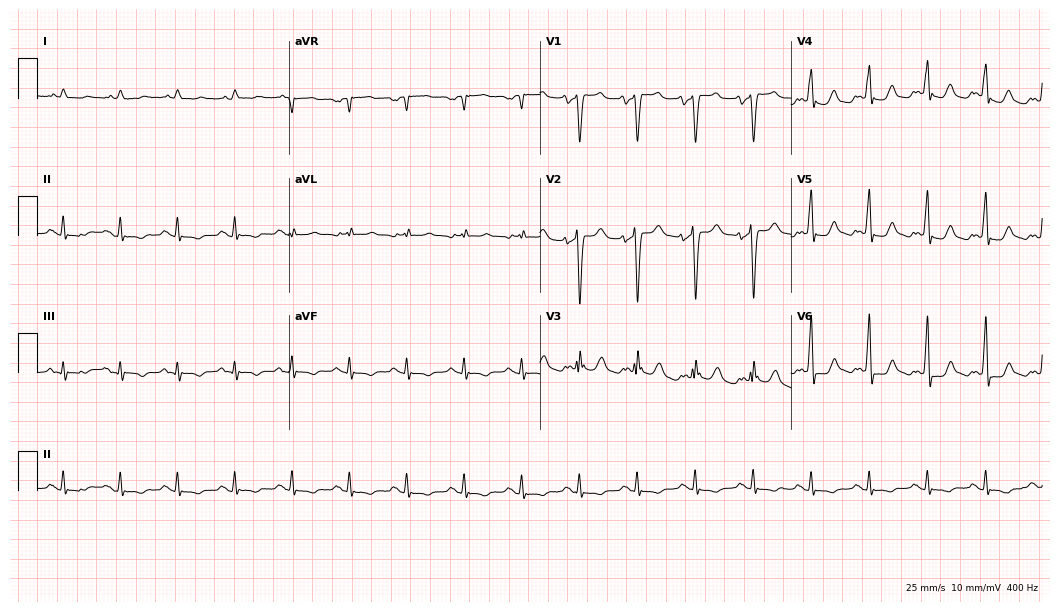
12-lead ECG from a male, 85 years old. Findings include sinus tachycardia (a sinus rate of 100 beats per minute or more).